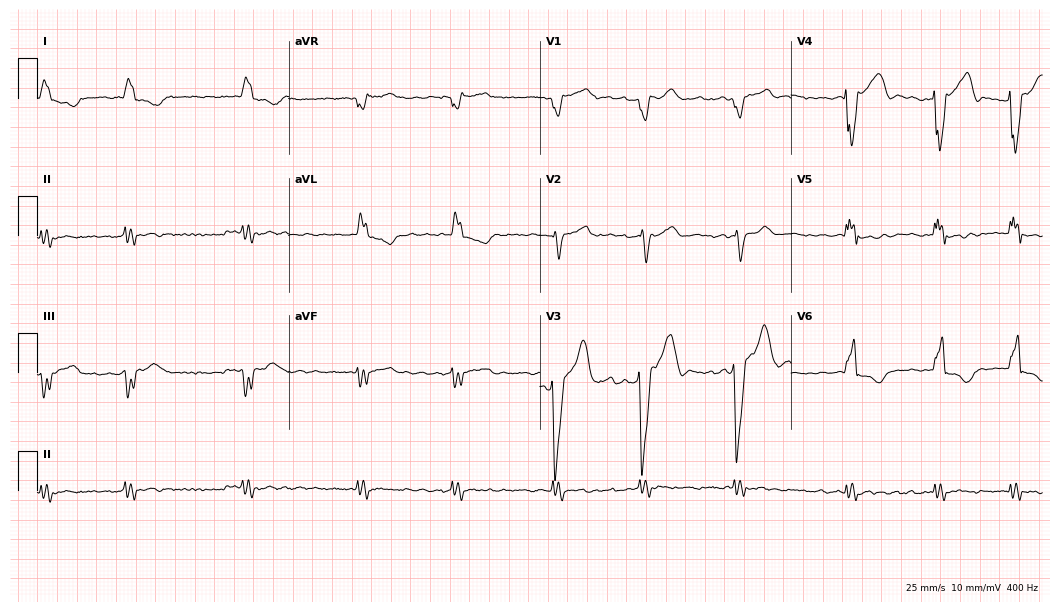
12-lead ECG from a man, 64 years old. Findings include atrial fibrillation.